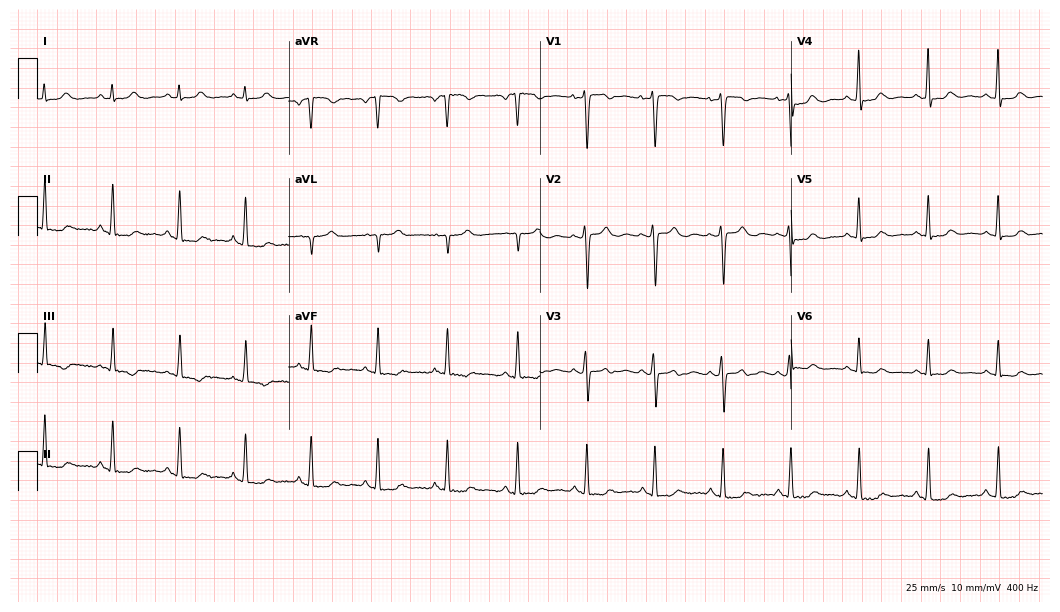
12-lead ECG from a 34-year-old woman. Screened for six findings — first-degree AV block, right bundle branch block, left bundle branch block, sinus bradycardia, atrial fibrillation, sinus tachycardia — none is recorded. Other findings, if any, are not listed.